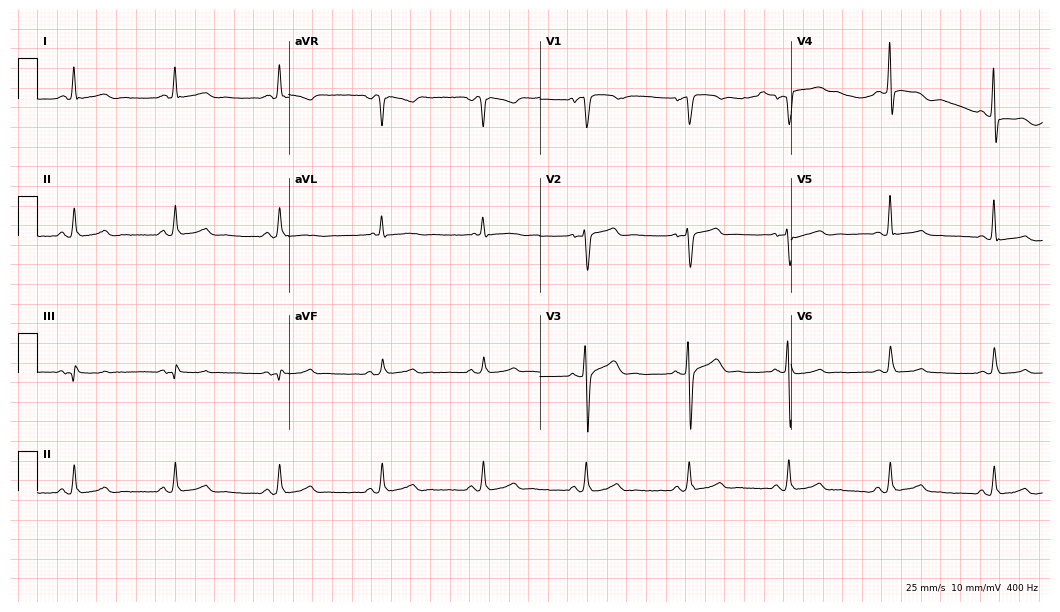
ECG — a 50-year-old male patient. Labelled as a normal ECG.